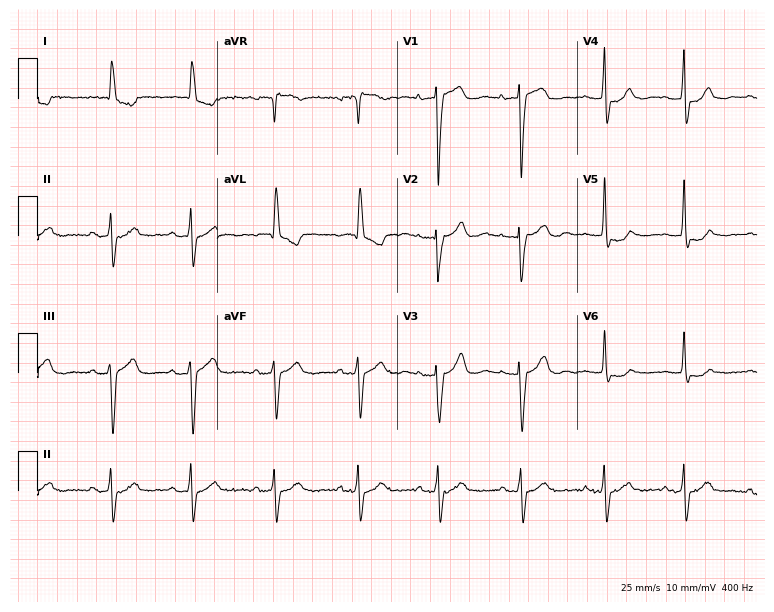
ECG (7.3-second recording at 400 Hz) — a female patient, 85 years old. Screened for six findings — first-degree AV block, right bundle branch block, left bundle branch block, sinus bradycardia, atrial fibrillation, sinus tachycardia — none is recorded. Only these six findings were labelled.